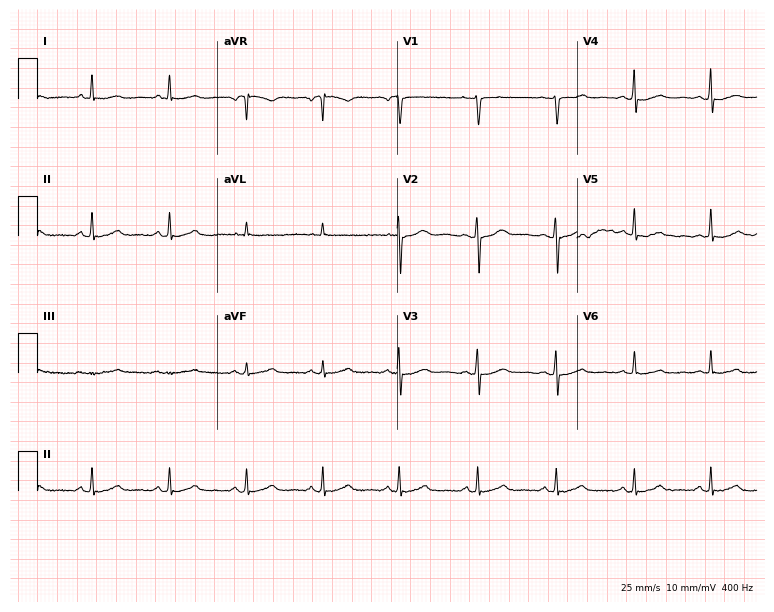
12-lead ECG from a 46-year-old female. No first-degree AV block, right bundle branch block (RBBB), left bundle branch block (LBBB), sinus bradycardia, atrial fibrillation (AF) or sinus tachycardia recorded for this tracing.